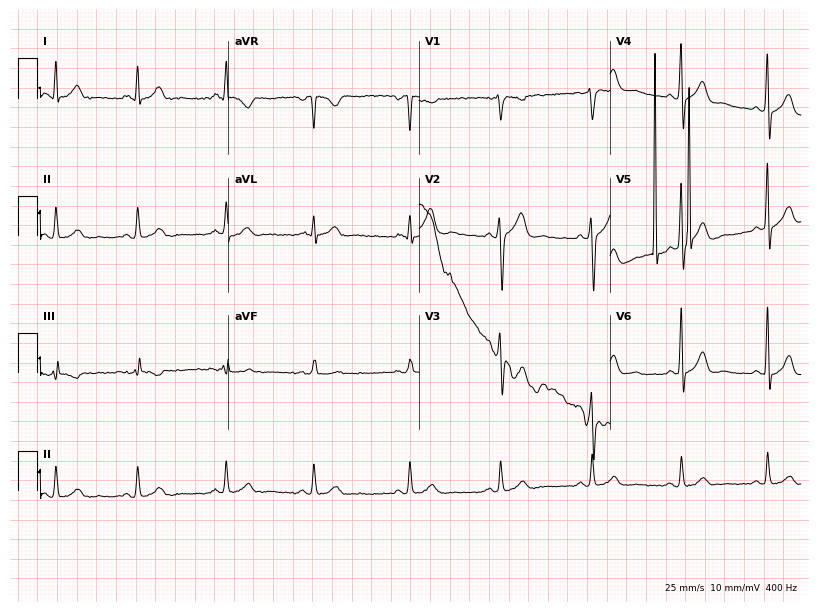
ECG (7.8-second recording at 400 Hz) — a male, 38 years old. Findings include atrial fibrillation.